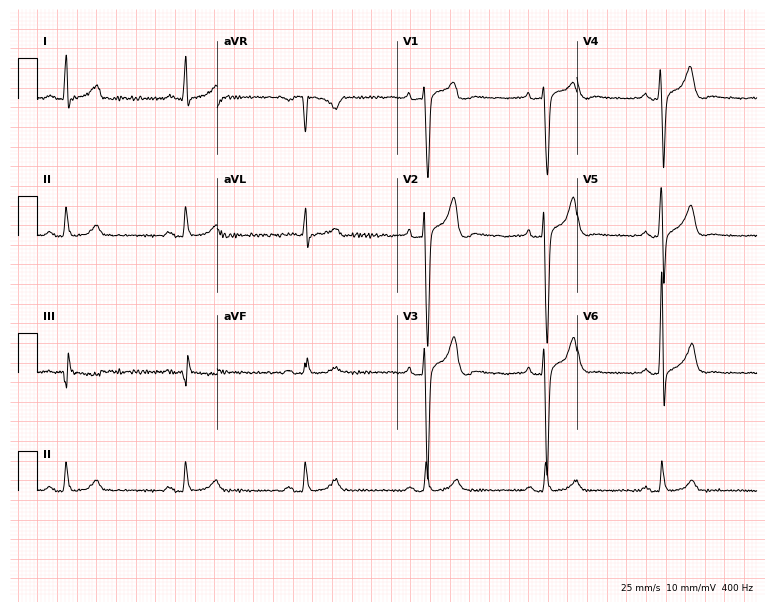
12-lead ECG from a man, 47 years old. Recorded interpretation: within normal limits.